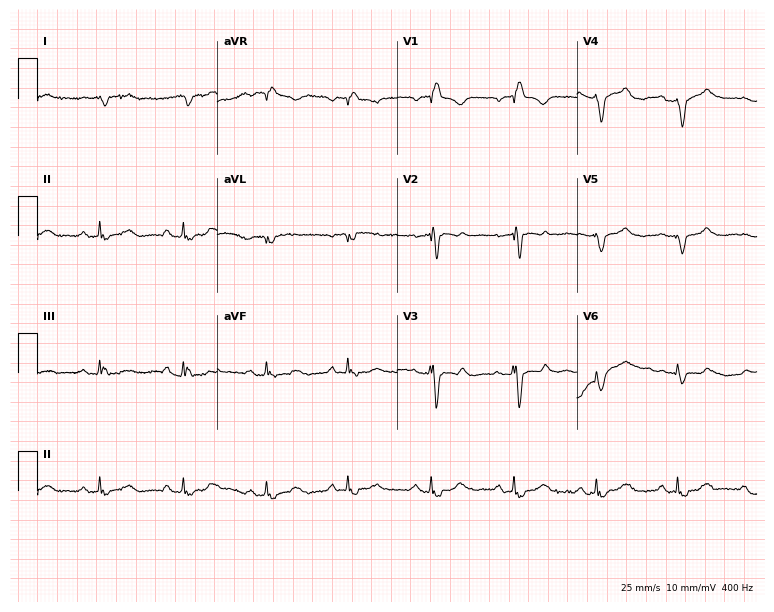
Electrocardiogram, a male, 48 years old. Interpretation includes right bundle branch block.